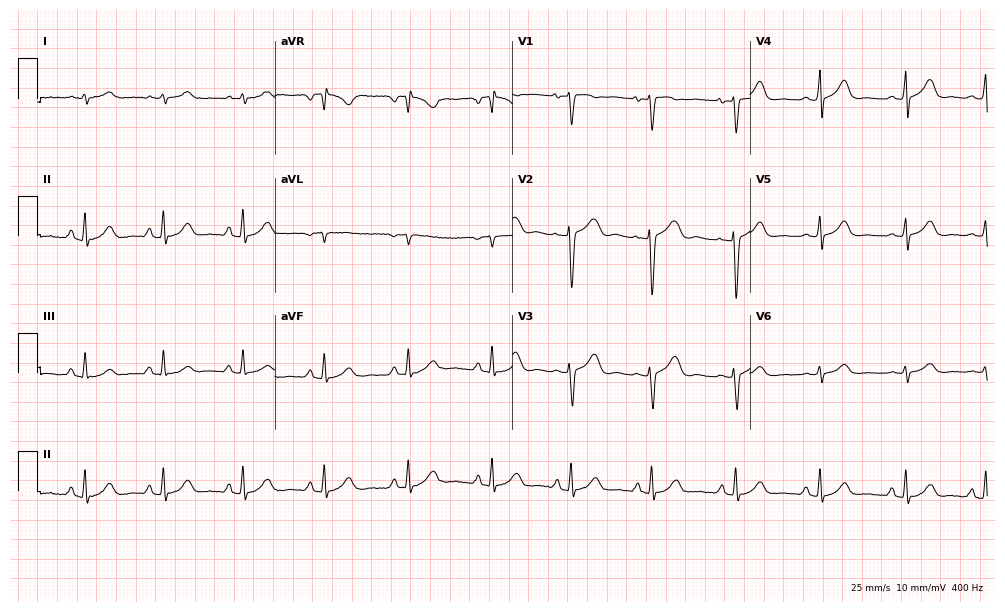
ECG — a 27-year-old female. Screened for six findings — first-degree AV block, right bundle branch block, left bundle branch block, sinus bradycardia, atrial fibrillation, sinus tachycardia — none is recorded. Findings outside these six are not listed.